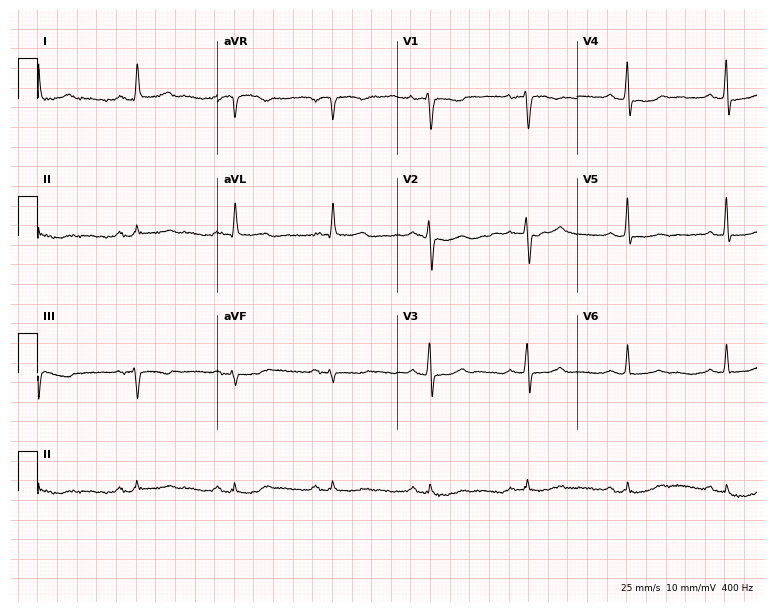
12-lead ECG from a female patient, 60 years old. Labelled as a normal ECG.